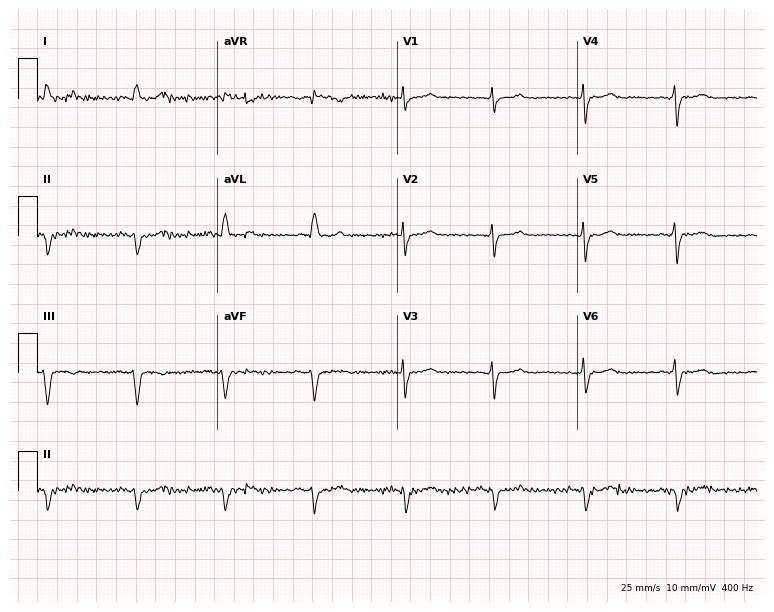
ECG — a 79-year-old male patient. Screened for six findings — first-degree AV block, right bundle branch block, left bundle branch block, sinus bradycardia, atrial fibrillation, sinus tachycardia — none is recorded. Findings outside these six are not listed.